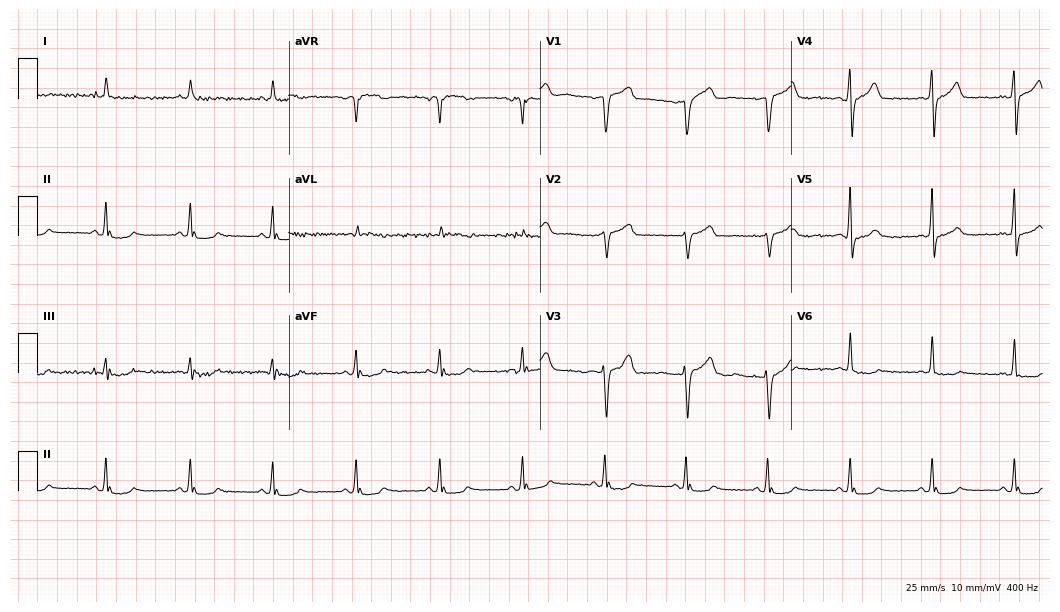
ECG — a male, 75 years old. Screened for six findings — first-degree AV block, right bundle branch block, left bundle branch block, sinus bradycardia, atrial fibrillation, sinus tachycardia — none is recorded. Other findings, if any, are not listed.